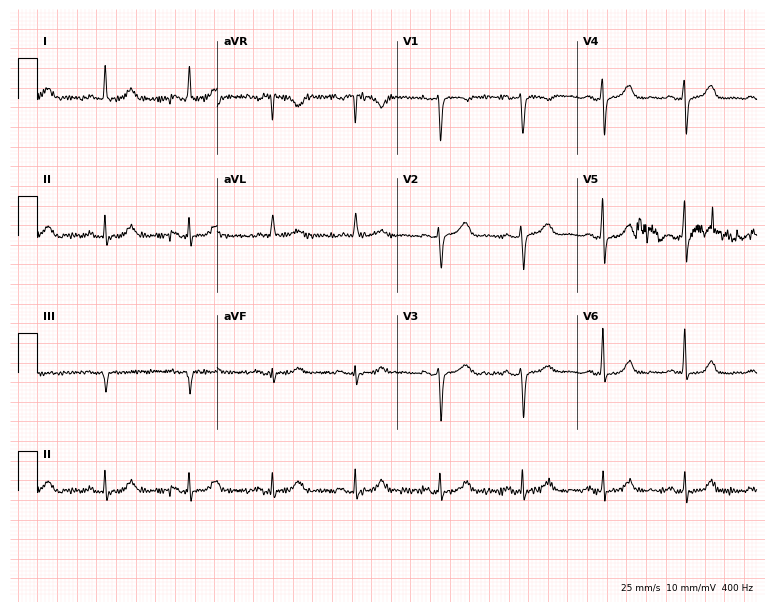
12-lead ECG from a 58-year-old female patient. Labelled as a normal ECG.